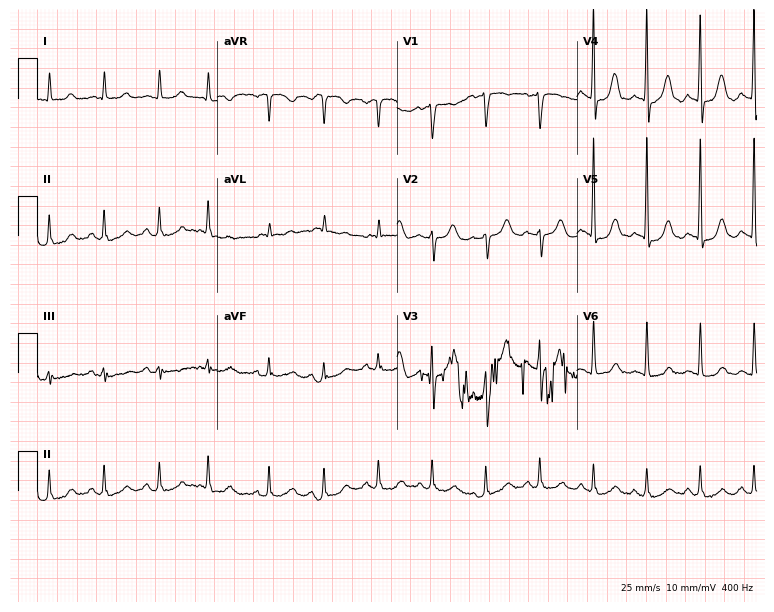
Resting 12-lead electrocardiogram (7.3-second recording at 400 Hz). Patient: a 70-year-old woman. The tracing shows sinus tachycardia (a sinus rate of 100 beats per minute or more).